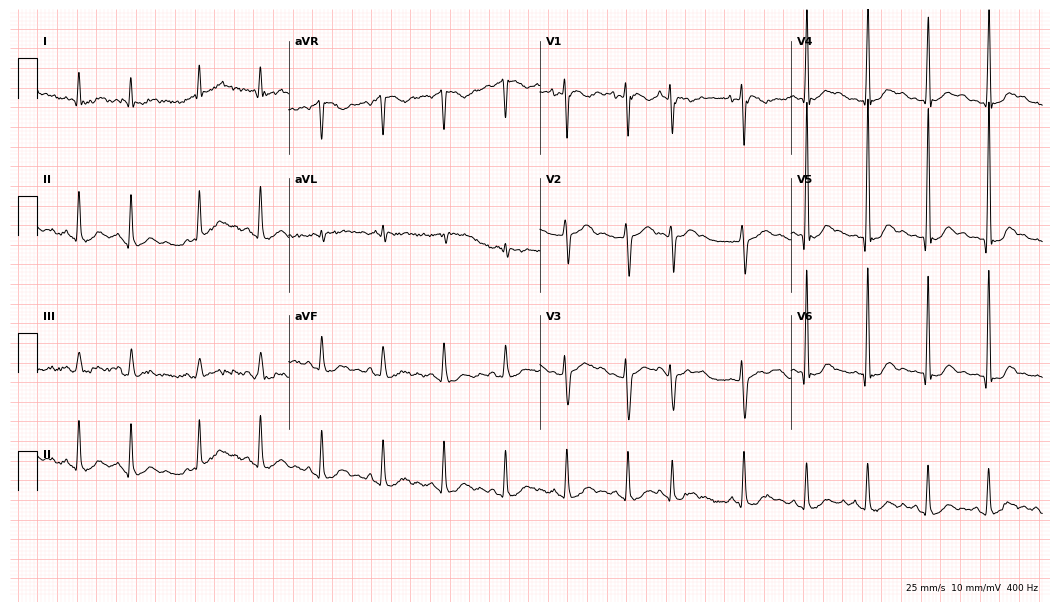
ECG (10.2-second recording at 400 Hz) — a female patient, 53 years old. Screened for six findings — first-degree AV block, right bundle branch block, left bundle branch block, sinus bradycardia, atrial fibrillation, sinus tachycardia — none is recorded. Other findings, if any, are not listed.